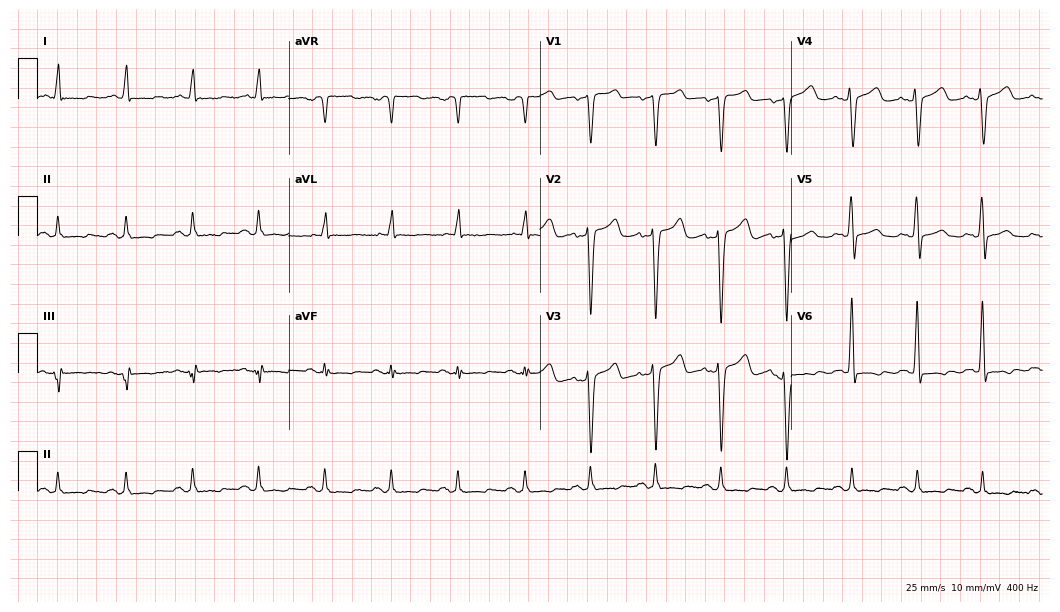
12-lead ECG from a male, 66 years old (10.2-second recording at 400 Hz). No first-degree AV block, right bundle branch block, left bundle branch block, sinus bradycardia, atrial fibrillation or sinus tachycardia recorded for this tracing.